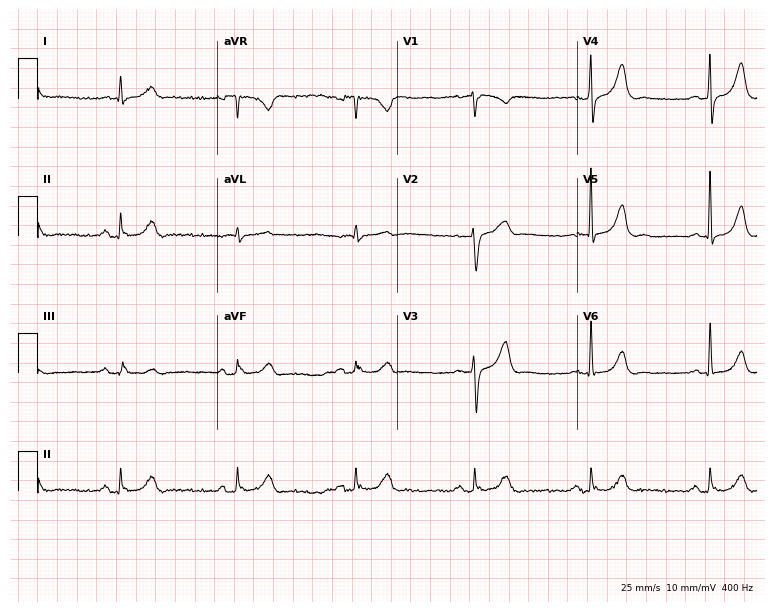
12-lead ECG from a man, 81 years old. No first-degree AV block, right bundle branch block (RBBB), left bundle branch block (LBBB), sinus bradycardia, atrial fibrillation (AF) or sinus tachycardia recorded for this tracing.